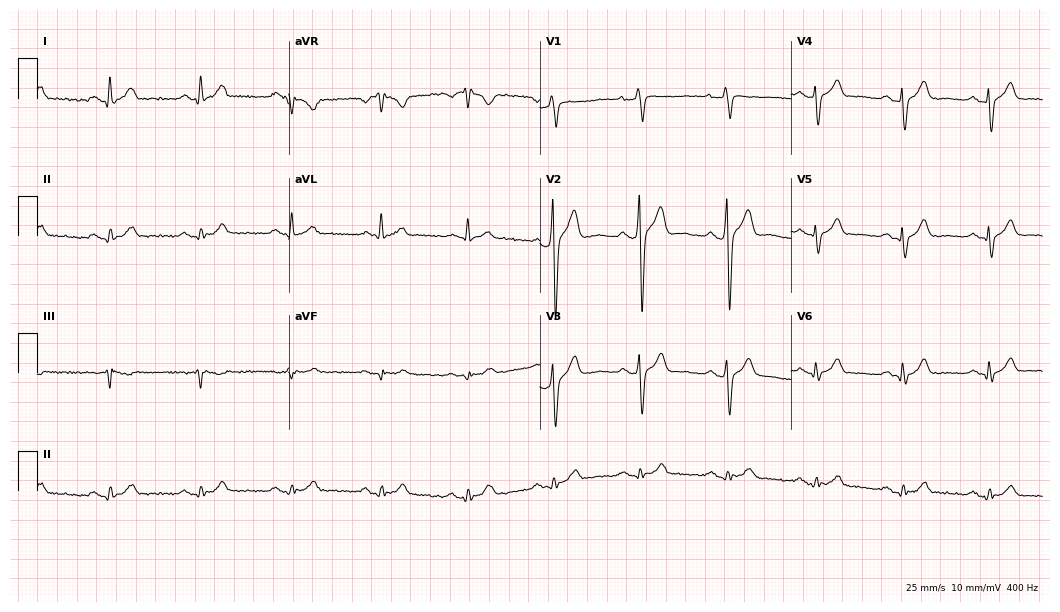
12-lead ECG from a male patient, 45 years old. Screened for six findings — first-degree AV block, right bundle branch block, left bundle branch block, sinus bradycardia, atrial fibrillation, sinus tachycardia — none is recorded.